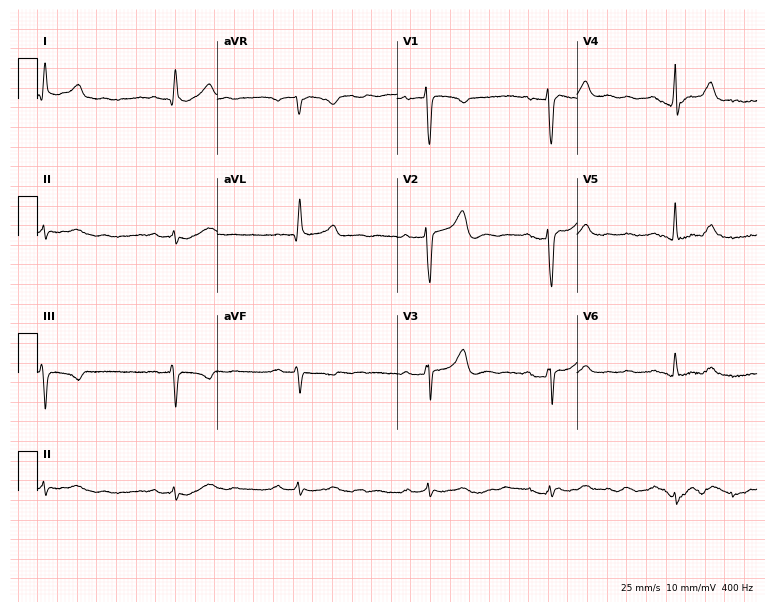
Resting 12-lead electrocardiogram. Patient: a man, 58 years old. The tracing shows first-degree AV block, sinus bradycardia (a sinus rate of 50 beats per minute or less).